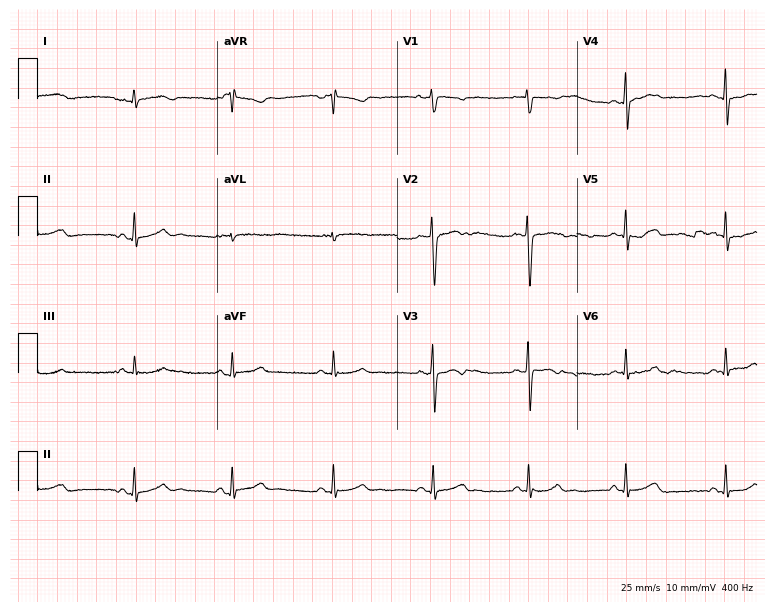
12-lead ECG from a female, 22 years old. Recorded interpretation: within normal limits.